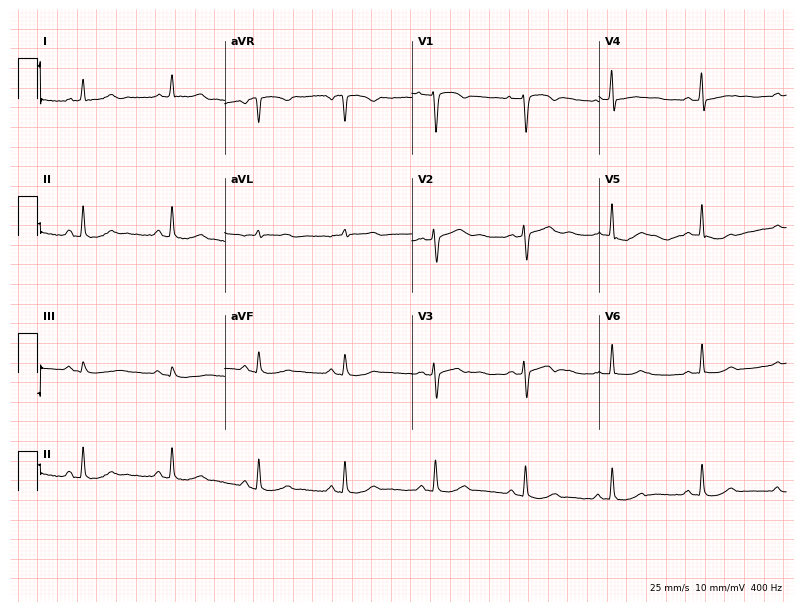
ECG (7.6-second recording at 400 Hz) — a 37-year-old woman. Labelled as a normal ECG.